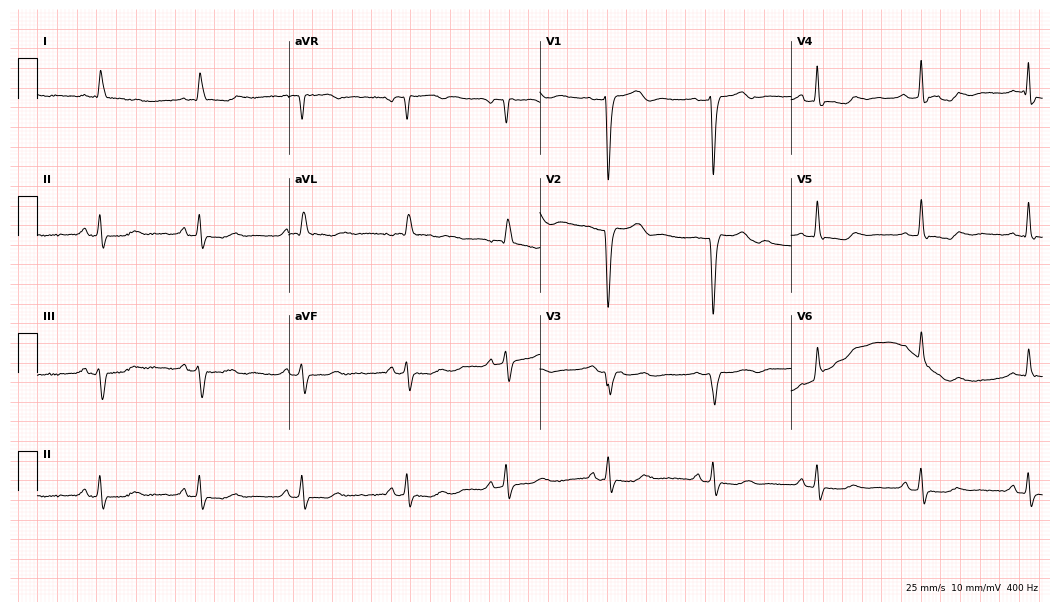
Resting 12-lead electrocardiogram (10.2-second recording at 400 Hz). Patient: an 85-year-old female. The tracing shows left bundle branch block (LBBB).